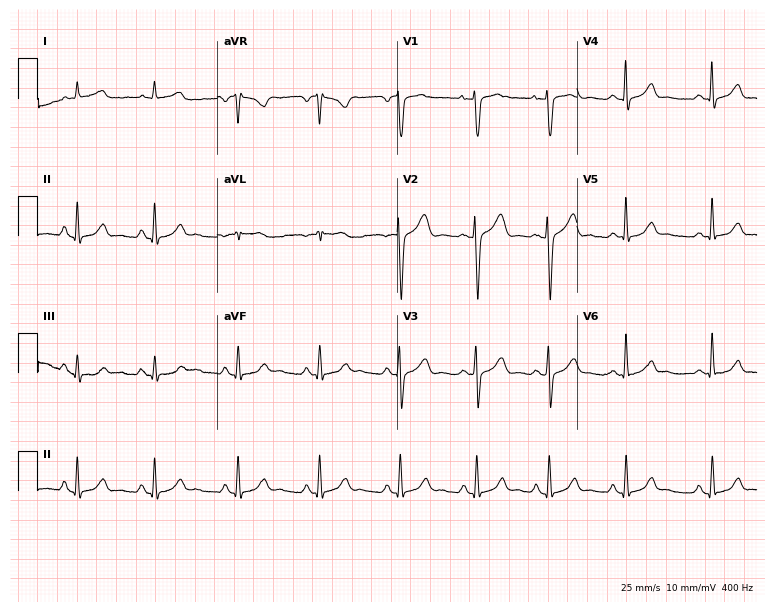
Resting 12-lead electrocardiogram. Patient: a 31-year-old female. Read as a normal ECG.